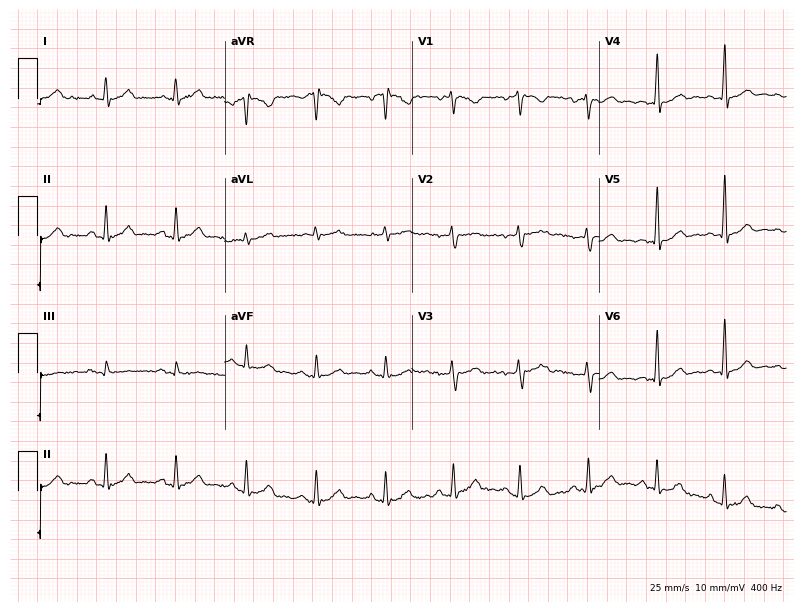
12-lead ECG (7.6-second recording at 400 Hz) from a female patient, 39 years old. Screened for six findings — first-degree AV block, right bundle branch block, left bundle branch block, sinus bradycardia, atrial fibrillation, sinus tachycardia — none is recorded. Findings outside these six are not listed.